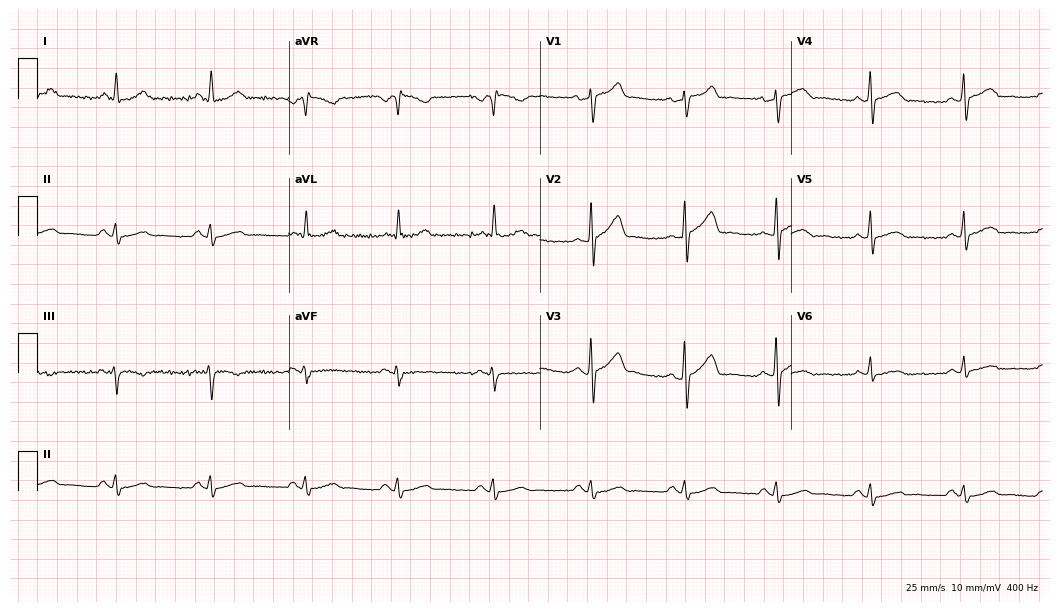
12-lead ECG from a 47-year-old man (10.2-second recording at 400 Hz). Recorded interpretation: within normal limits.